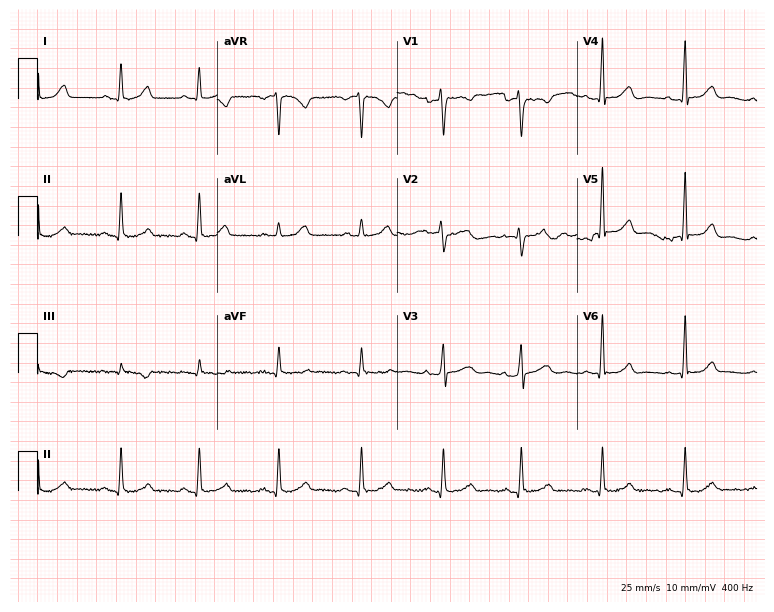
Standard 12-lead ECG recorded from a female, 41 years old (7.3-second recording at 400 Hz). Read as a normal ECG.